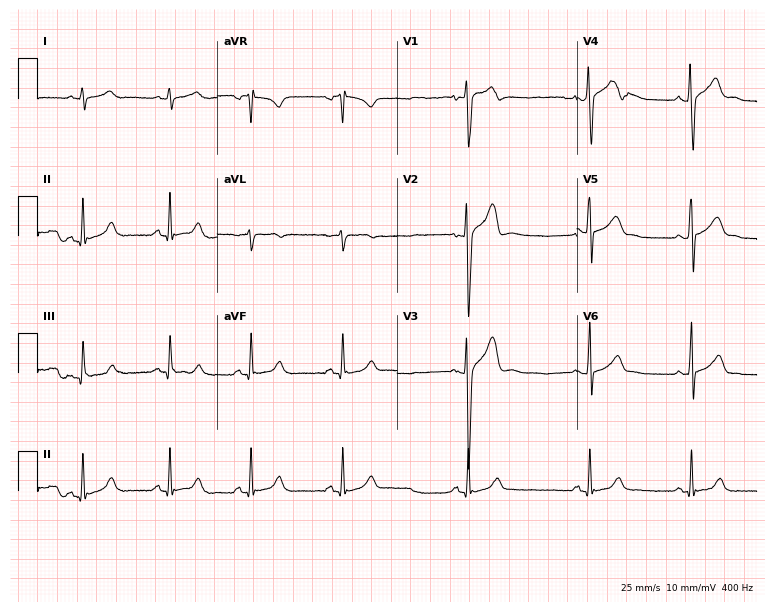
Standard 12-lead ECG recorded from an 18-year-old male. Read as a normal ECG.